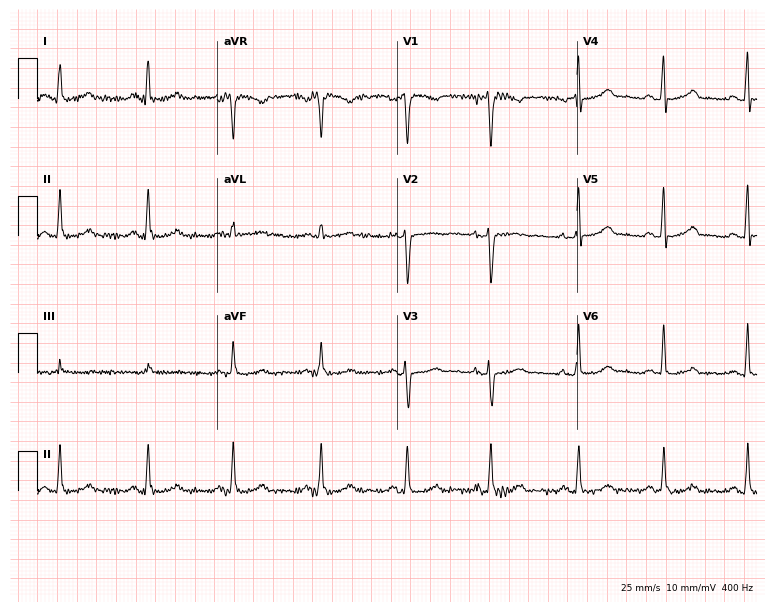
Electrocardiogram, a female patient, 54 years old. Overall reading on record: normal ECG.